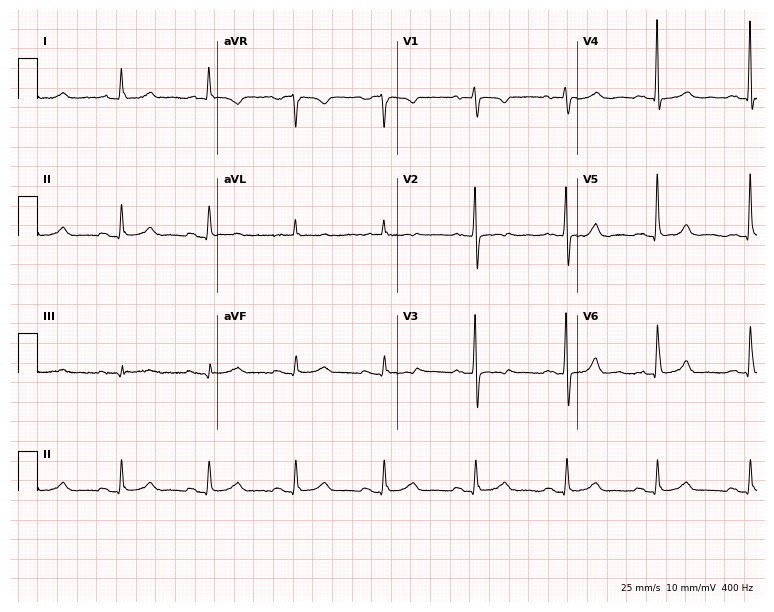
ECG (7.3-second recording at 400 Hz) — a female patient, 71 years old. Labelled as a normal ECG.